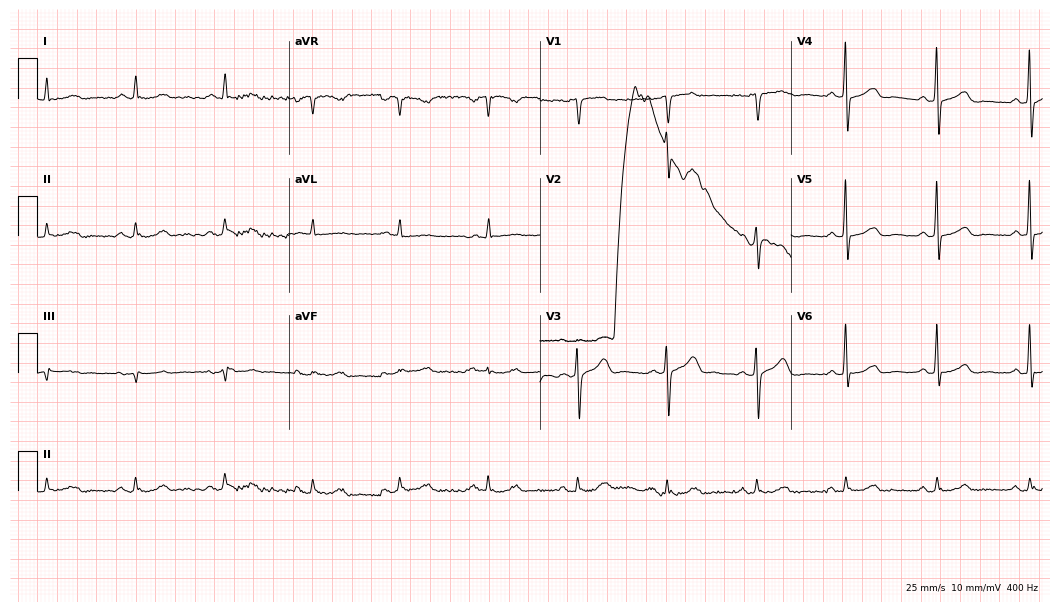
Electrocardiogram (10.2-second recording at 400 Hz), a male patient, 58 years old. Of the six screened findings (first-degree AV block, right bundle branch block, left bundle branch block, sinus bradycardia, atrial fibrillation, sinus tachycardia), none is recorded. Only these six findings were labelled.